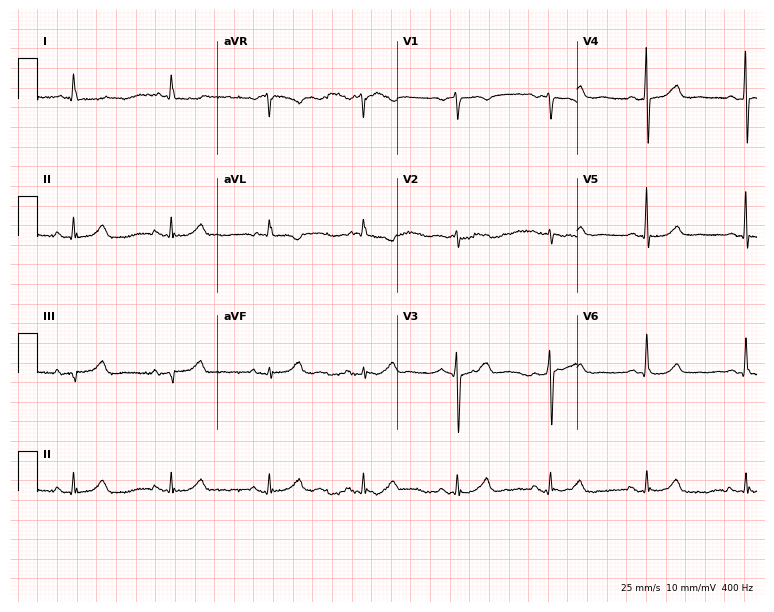
12-lead ECG from a female, 78 years old. Recorded interpretation: within normal limits.